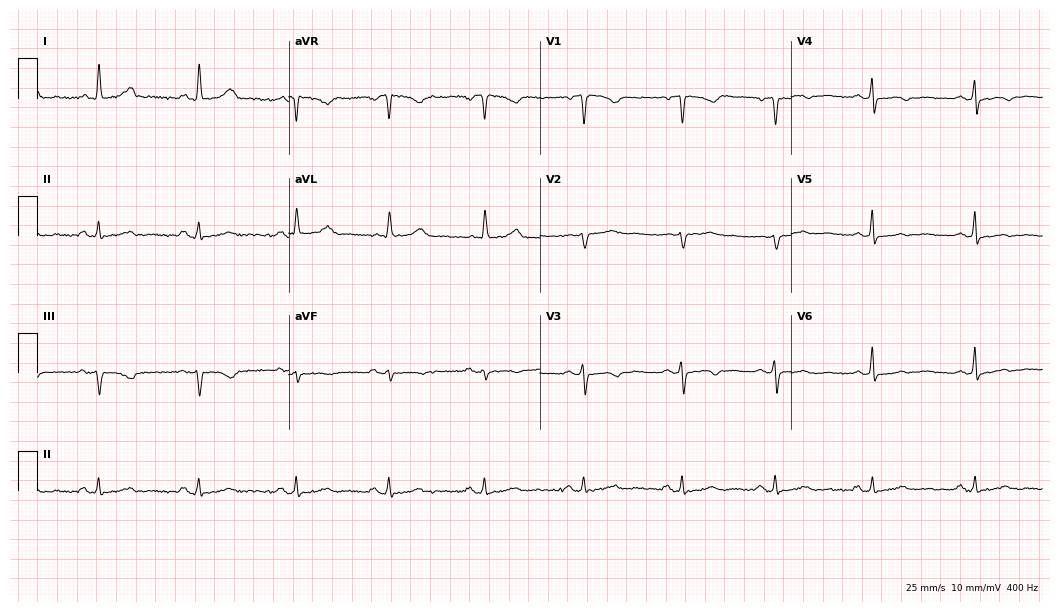
Electrocardiogram, a woman, 43 years old. Of the six screened findings (first-degree AV block, right bundle branch block, left bundle branch block, sinus bradycardia, atrial fibrillation, sinus tachycardia), none is recorded.